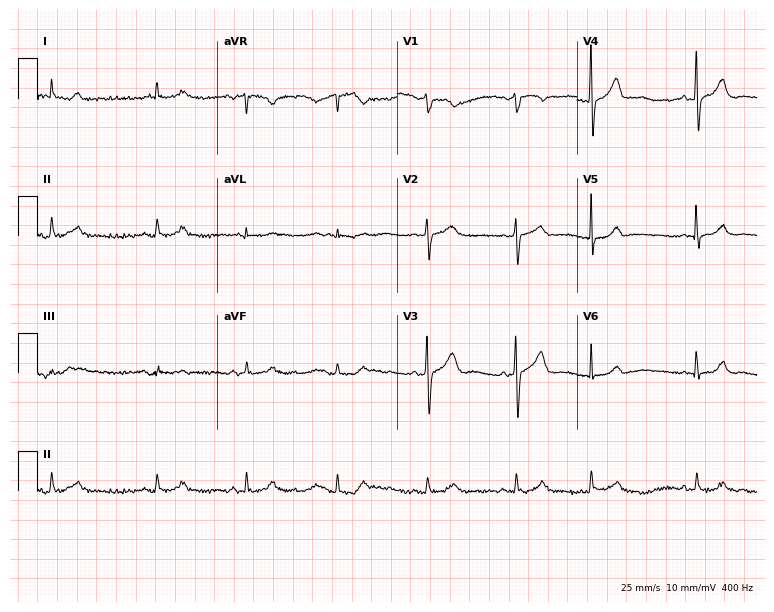
Standard 12-lead ECG recorded from an 80-year-old male patient (7.3-second recording at 400 Hz). None of these six findings is recorded: first-degree AV block, right bundle branch block, left bundle branch block, sinus bradycardia, atrial fibrillation, sinus tachycardia. Findings outside these six are not listed.